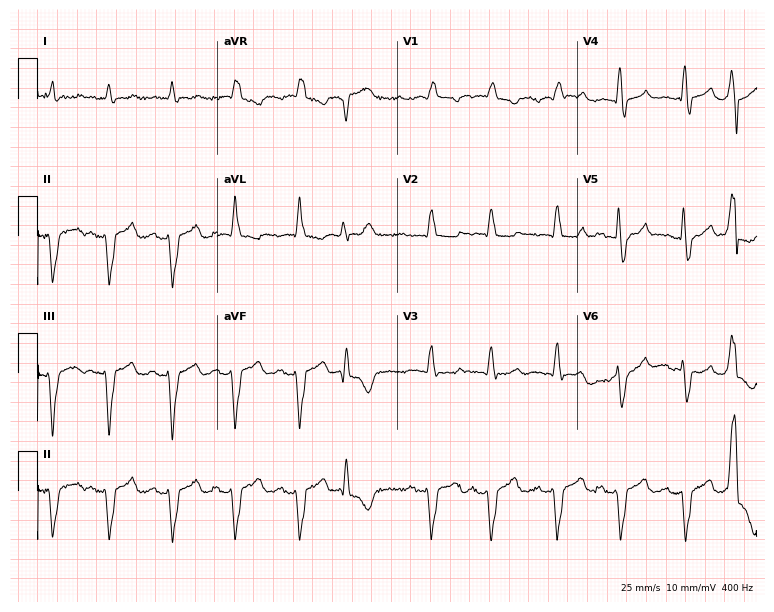
Resting 12-lead electrocardiogram. Patient: a 67-year-old male. The tracing shows first-degree AV block, right bundle branch block (RBBB).